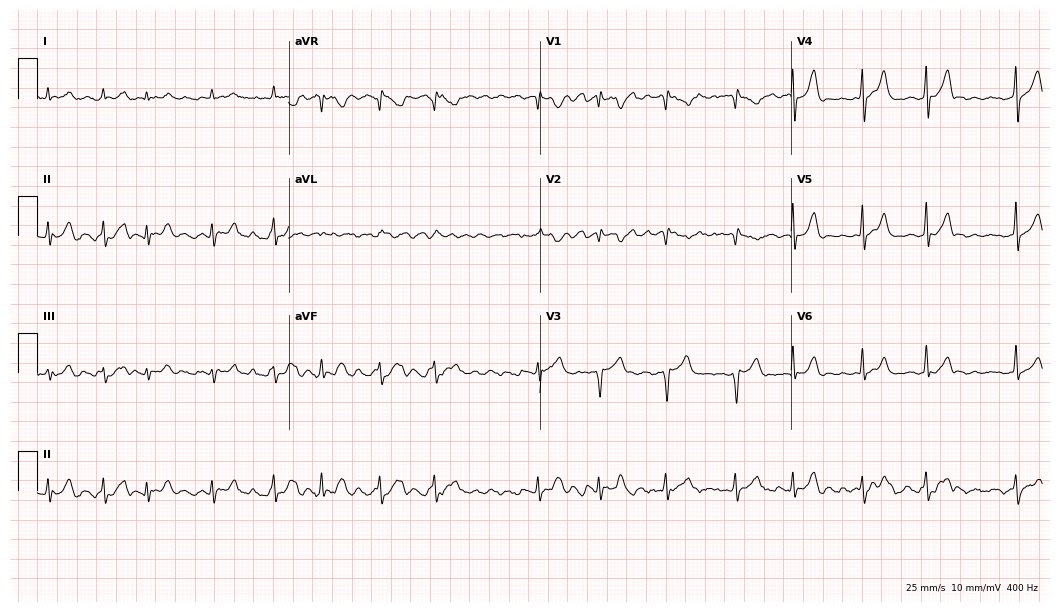
12-lead ECG (10.2-second recording at 400 Hz) from a female patient, 68 years old. Findings include atrial fibrillation.